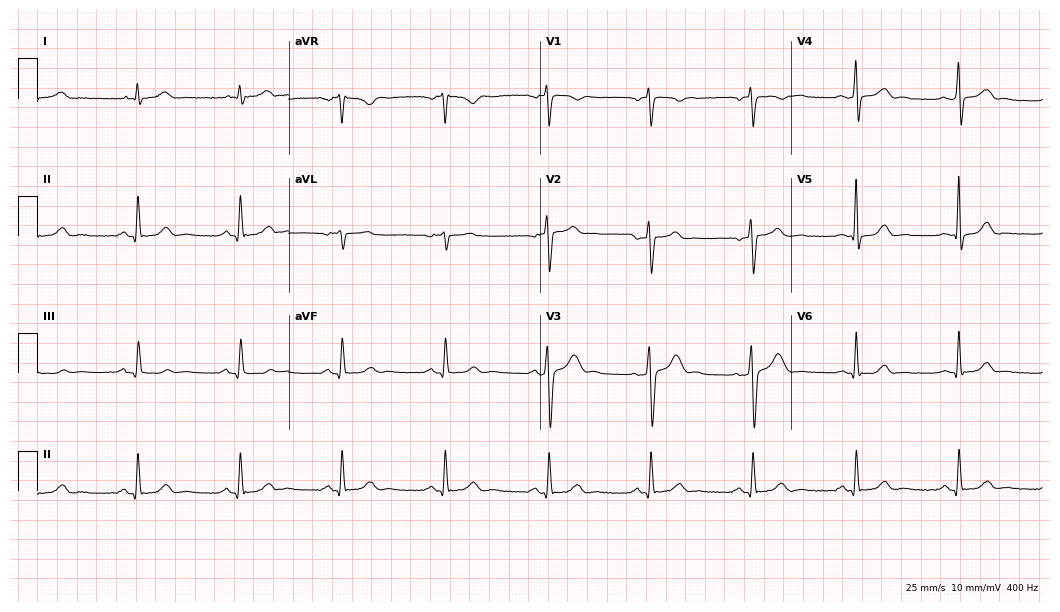
Resting 12-lead electrocardiogram. Patient: a 50-year-old male. Read as a normal ECG.